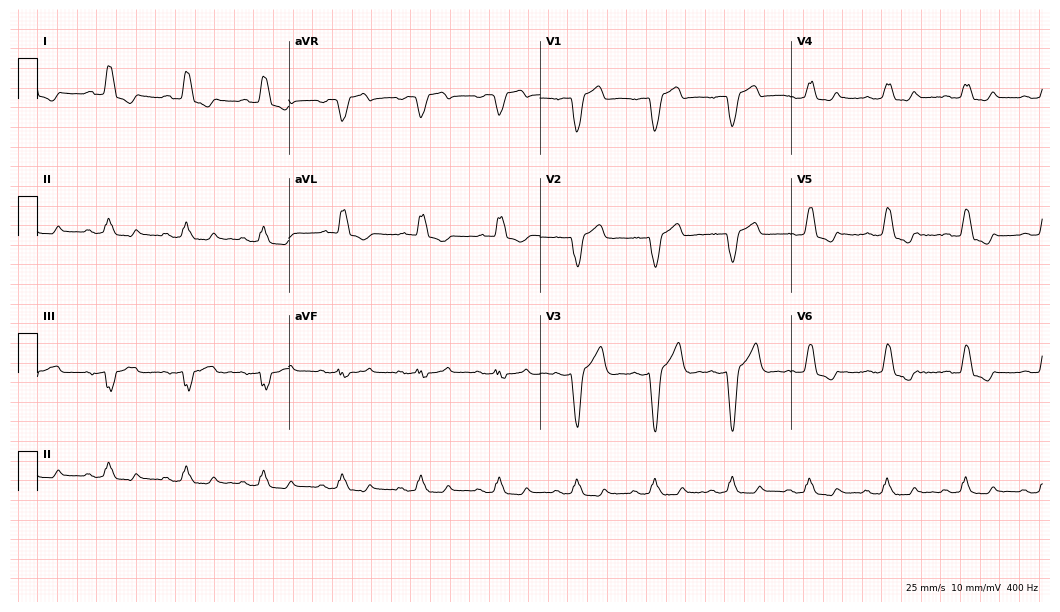
ECG — an 85-year-old man. Findings include left bundle branch block.